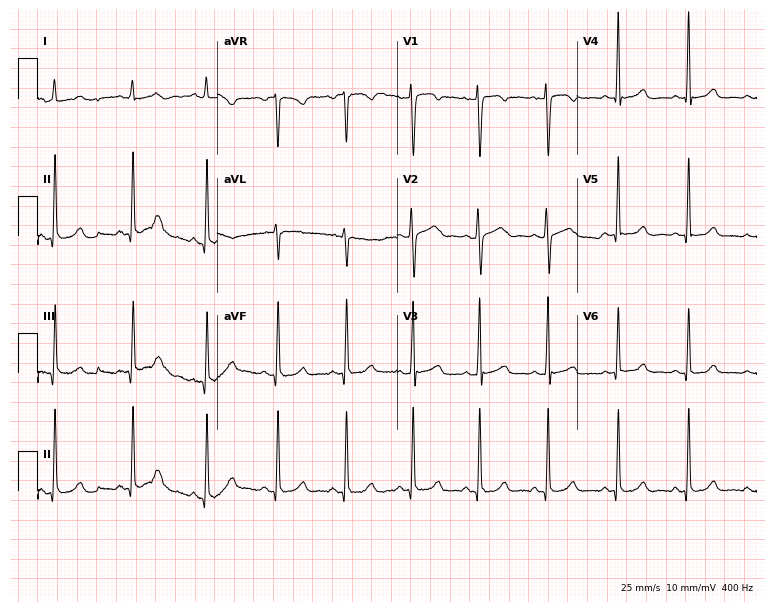
Electrocardiogram, a 34-year-old female. Of the six screened findings (first-degree AV block, right bundle branch block (RBBB), left bundle branch block (LBBB), sinus bradycardia, atrial fibrillation (AF), sinus tachycardia), none is recorded. Only these six findings were labelled.